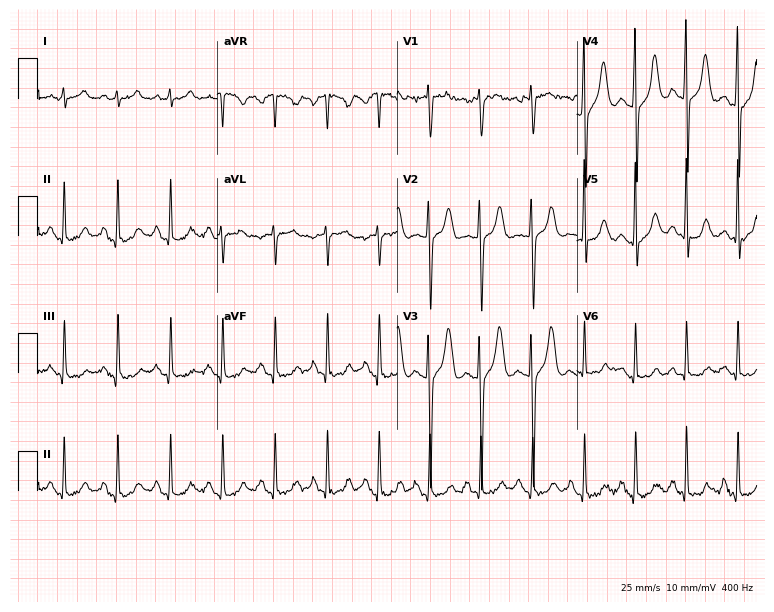
Standard 12-lead ECG recorded from a 28-year-old female (7.3-second recording at 400 Hz). The tracing shows sinus tachycardia (a sinus rate of 100 beats per minute or more).